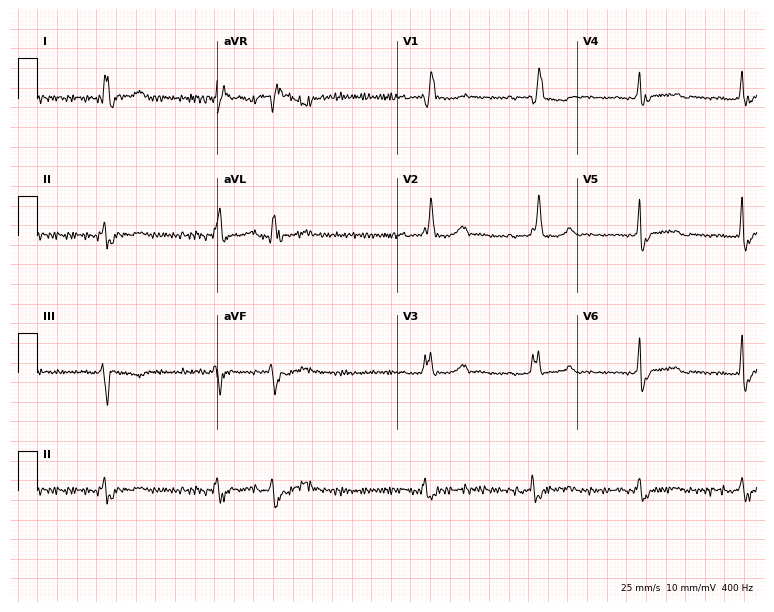
12-lead ECG (7.3-second recording at 400 Hz) from a 79-year-old female. Findings include right bundle branch block, atrial fibrillation.